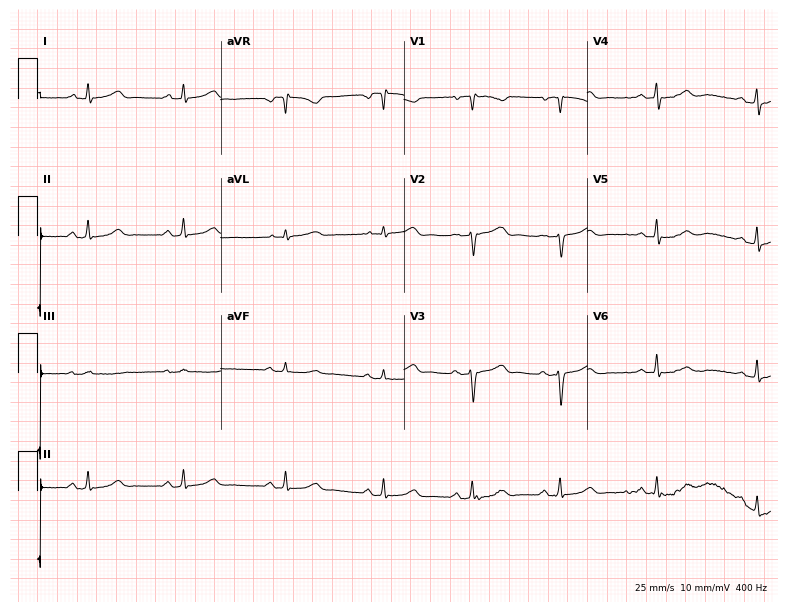
12-lead ECG from a 32-year-old female patient (7.5-second recording at 400 Hz). Recorded interpretation: within normal limits.